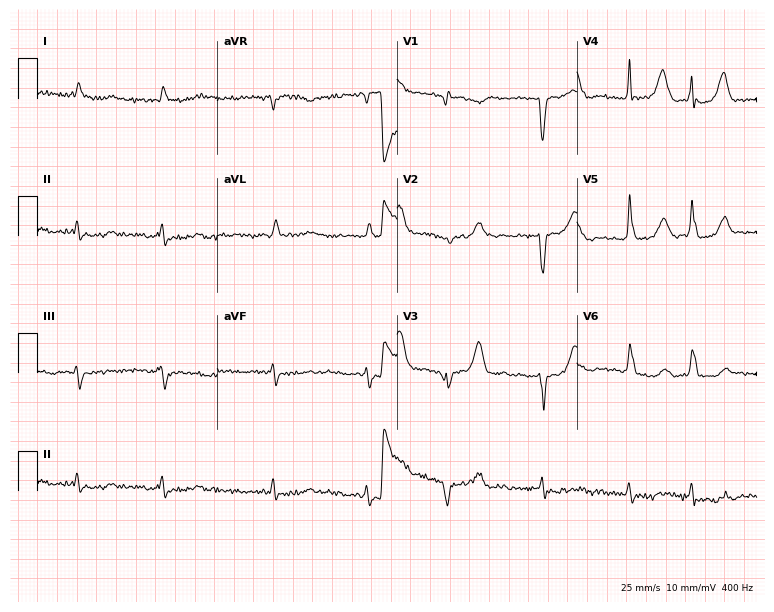
Standard 12-lead ECG recorded from an 84-year-old male (7.3-second recording at 400 Hz). None of these six findings is recorded: first-degree AV block, right bundle branch block (RBBB), left bundle branch block (LBBB), sinus bradycardia, atrial fibrillation (AF), sinus tachycardia.